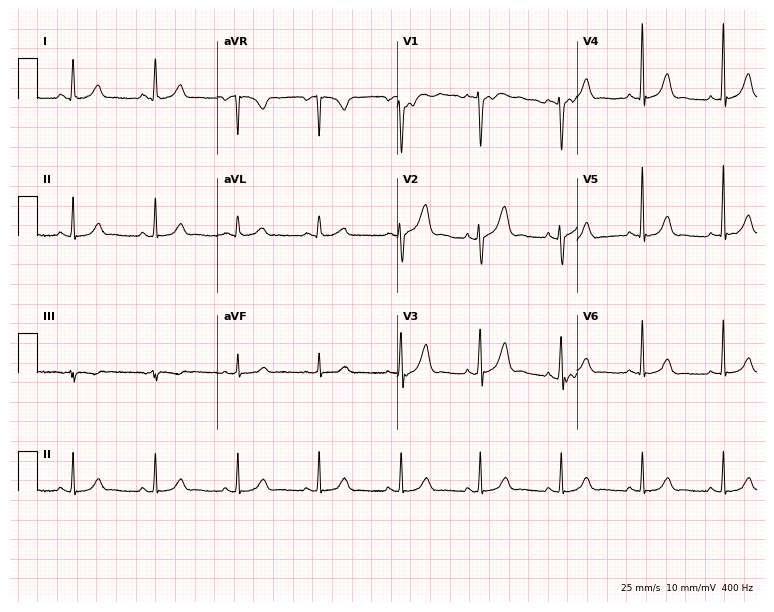
Resting 12-lead electrocardiogram. Patient: a woman, 40 years old. None of these six findings is recorded: first-degree AV block, right bundle branch block, left bundle branch block, sinus bradycardia, atrial fibrillation, sinus tachycardia.